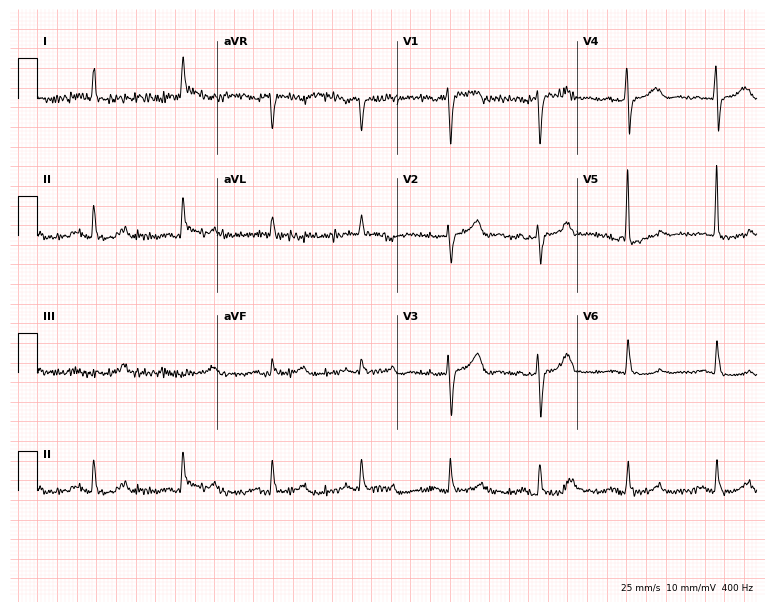
12-lead ECG (7.3-second recording at 400 Hz) from a woman, 74 years old. Screened for six findings — first-degree AV block, right bundle branch block, left bundle branch block, sinus bradycardia, atrial fibrillation, sinus tachycardia — none is recorded.